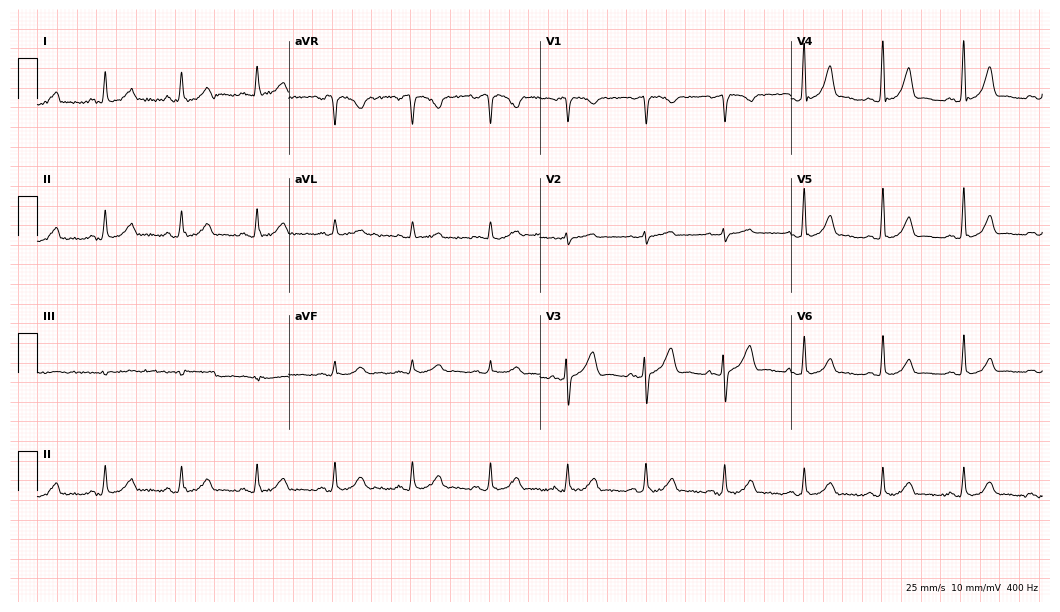
12-lead ECG from a female patient, 65 years old (10.2-second recording at 400 Hz). Recorded interpretation: within normal limits.